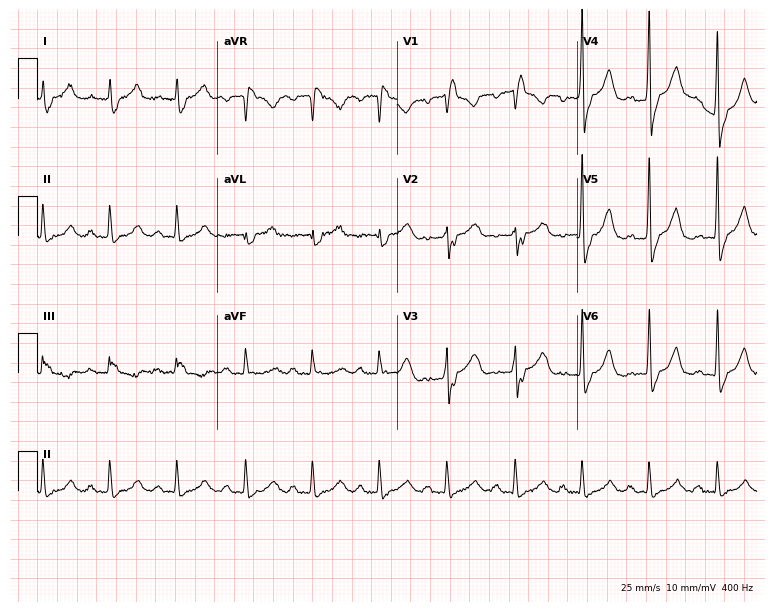
Standard 12-lead ECG recorded from an 82-year-old female patient (7.3-second recording at 400 Hz). The tracing shows right bundle branch block.